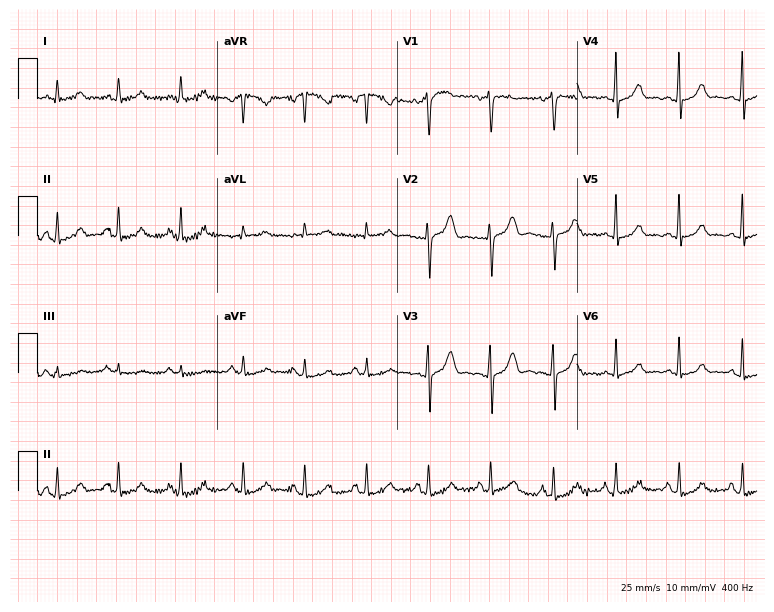
Resting 12-lead electrocardiogram (7.3-second recording at 400 Hz). Patient: a female, 19 years old. Read as a normal ECG.